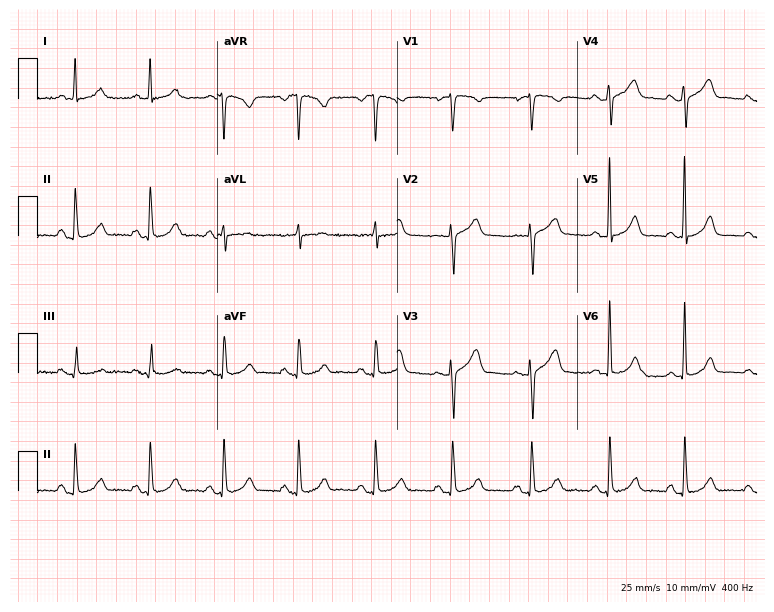
12-lead ECG from a 56-year-old female patient. Labelled as a normal ECG.